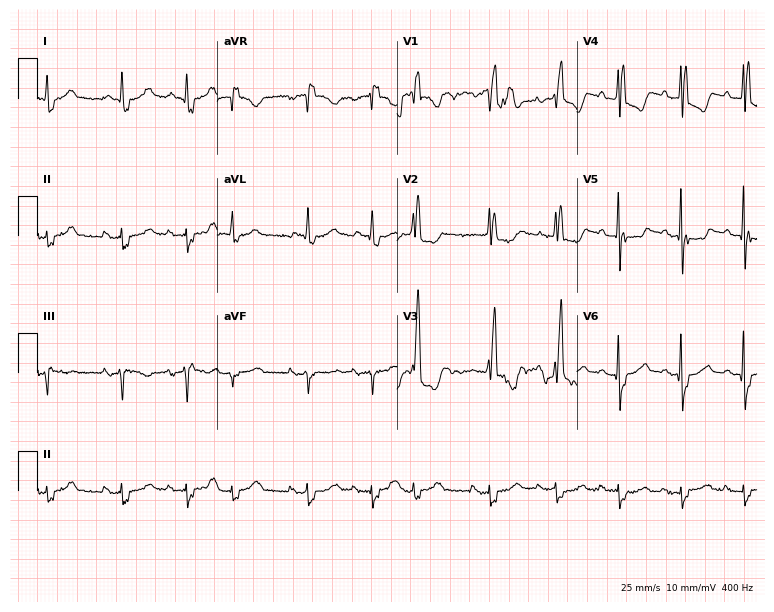
Electrocardiogram (7.3-second recording at 400 Hz), a female patient, 73 years old. Of the six screened findings (first-degree AV block, right bundle branch block (RBBB), left bundle branch block (LBBB), sinus bradycardia, atrial fibrillation (AF), sinus tachycardia), none is recorded. Only these six findings were labelled.